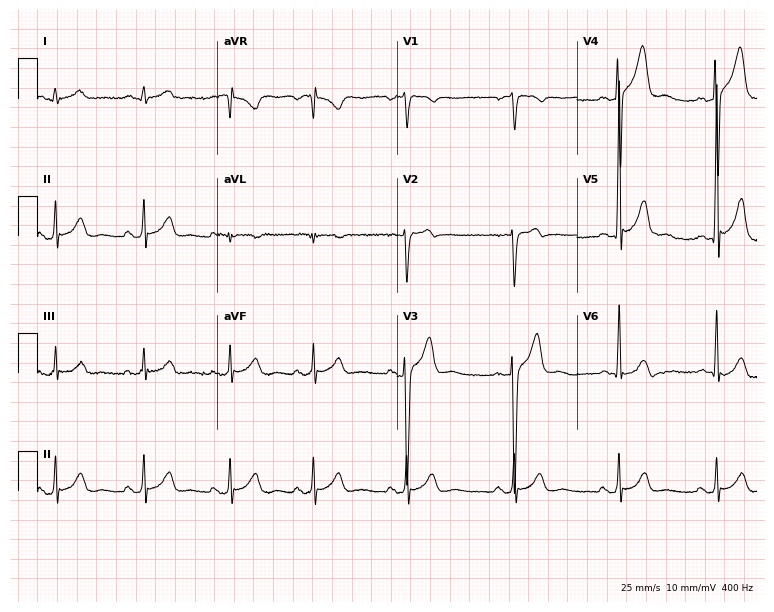
Standard 12-lead ECG recorded from a 21-year-old male patient (7.3-second recording at 400 Hz). None of these six findings is recorded: first-degree AV block, right bundle branch block, left bundle branch block, sinus bradycardia, atrial fibrillation, sinus tachycardia.